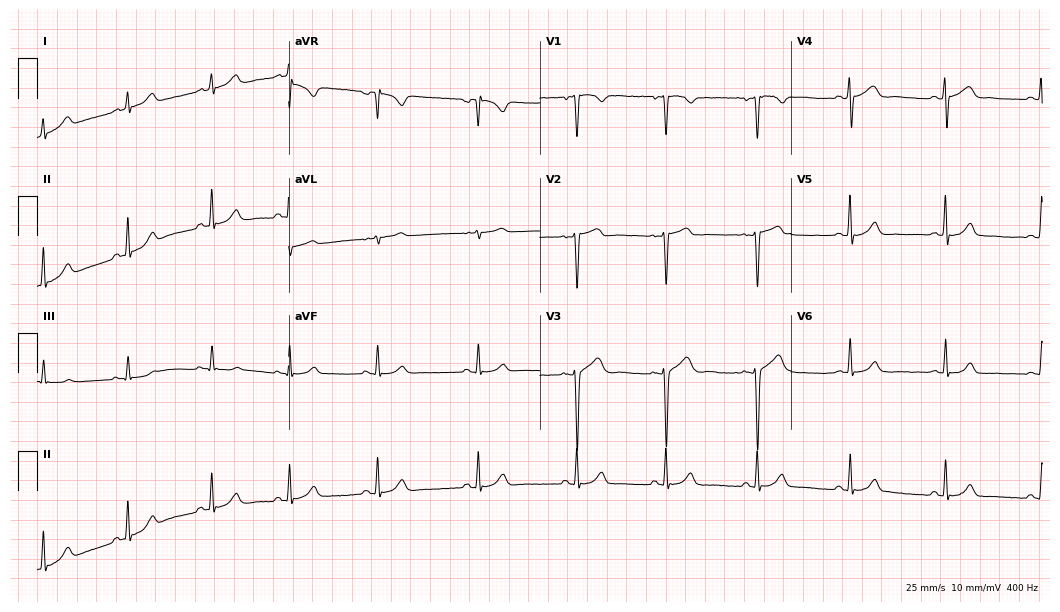
Electrocardiogram (10.2-second recording at 400 Hz), a 23-year-old man. Of the six screened findings (first-degree AV block, right bundle branch block, left bundle branch block, sinus bradycardia, atrial fibrillation, sinus tachycardia), none is recorded.